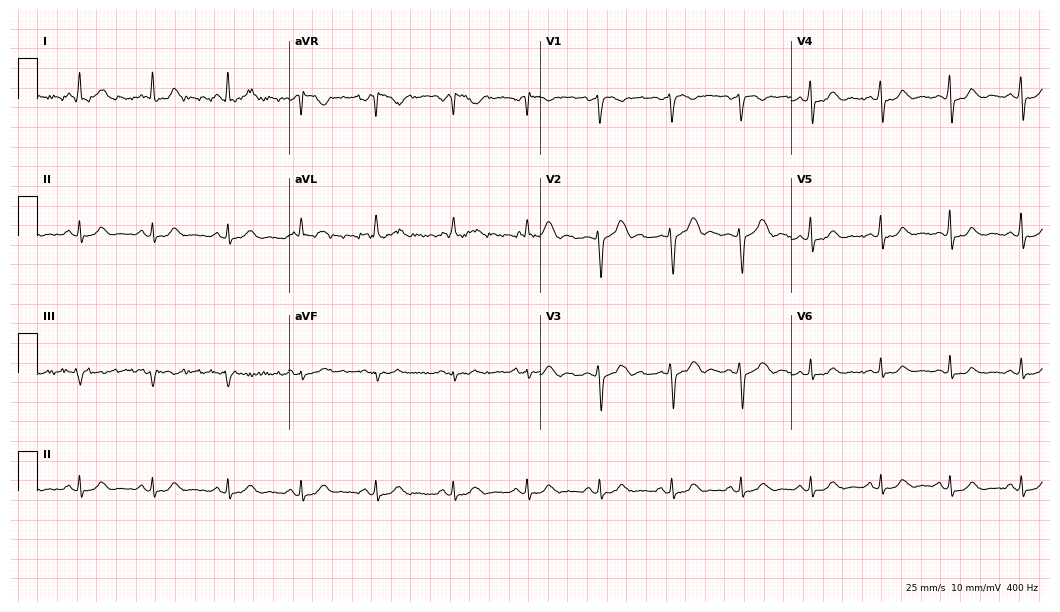
Resting 12-lead electrocardiogram. Patient: a 58-year-old female. Read as a normal ECG.